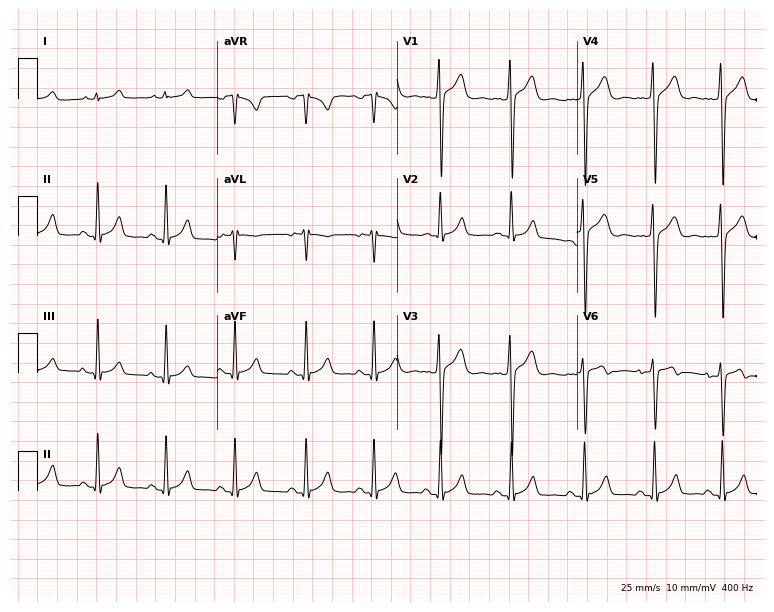
12-lead ECG (7.3-second recording at 400 Hz) from a 20-year-old man. Screened for six findings — first-degree AV block, right bundle branch block, left bundle branch block, sinus bradycardia, atrial fibrillation, sinus tachycardia — none is recorded.